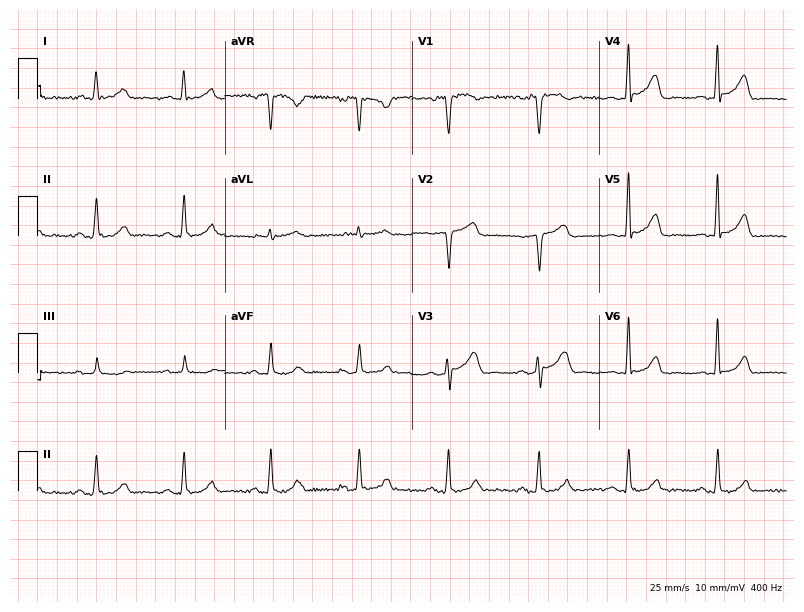
ECG (7.6-second recording at 400 Hz) — an 80-year-old female patient. Screened for six findings — first-degree AV block, right bundle branch block (RBBB), left bundle branch block (LBBB), sinus bradycardia, atrial fibrillation (AF), sinus tachycardia — none is recorded.